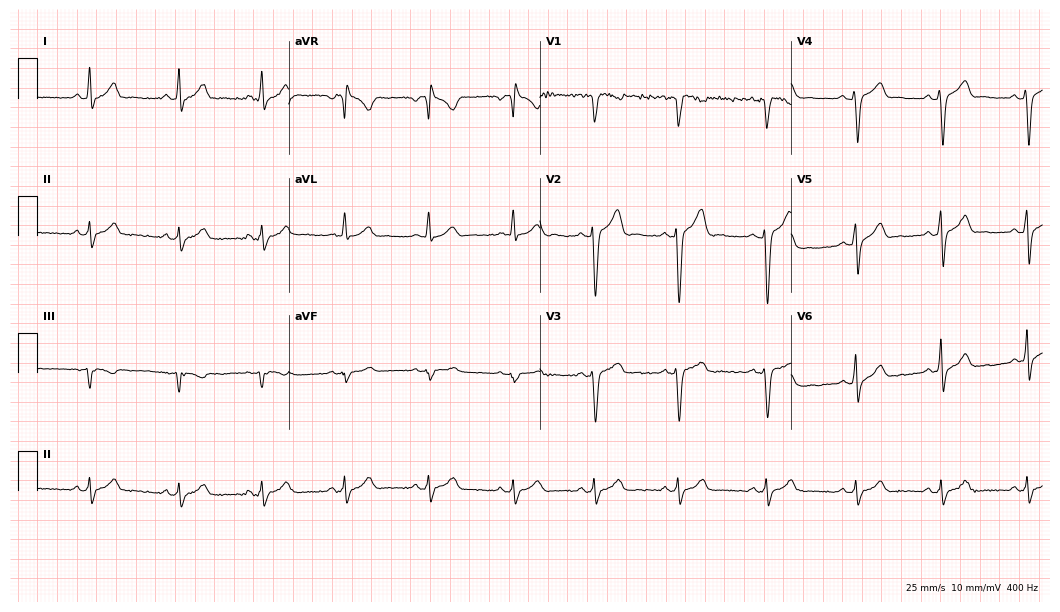
Resting 12-lead electrocardiogram. Patient: a 27-year-old man. None of these six findings is recorded: first-degree AV block, right bundle branch block, left bundle branch block, sinus bradycardia, atrial fibrillation, sinus tachycardia. Findings outside these six are not listed.